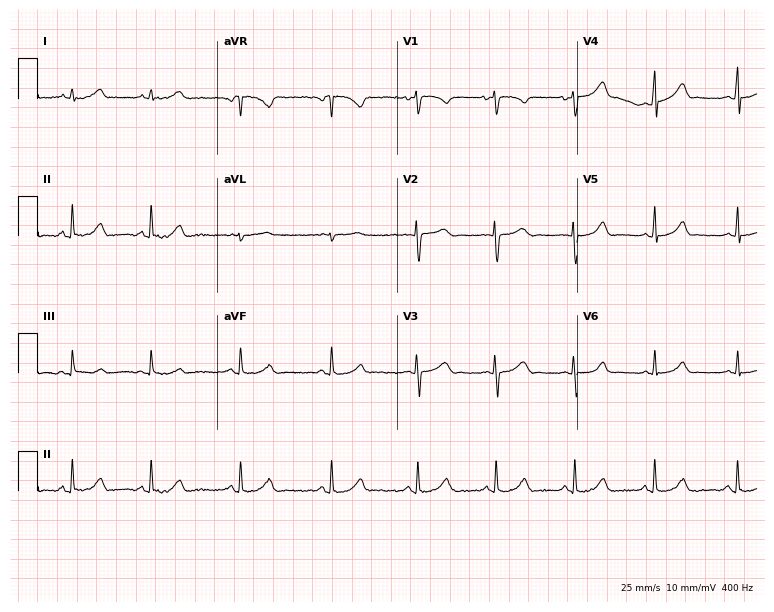
12-lead ECG (7.3-second recording at 400 Hz) from a 17-year-old female patient. Labelled as a normal ECG.